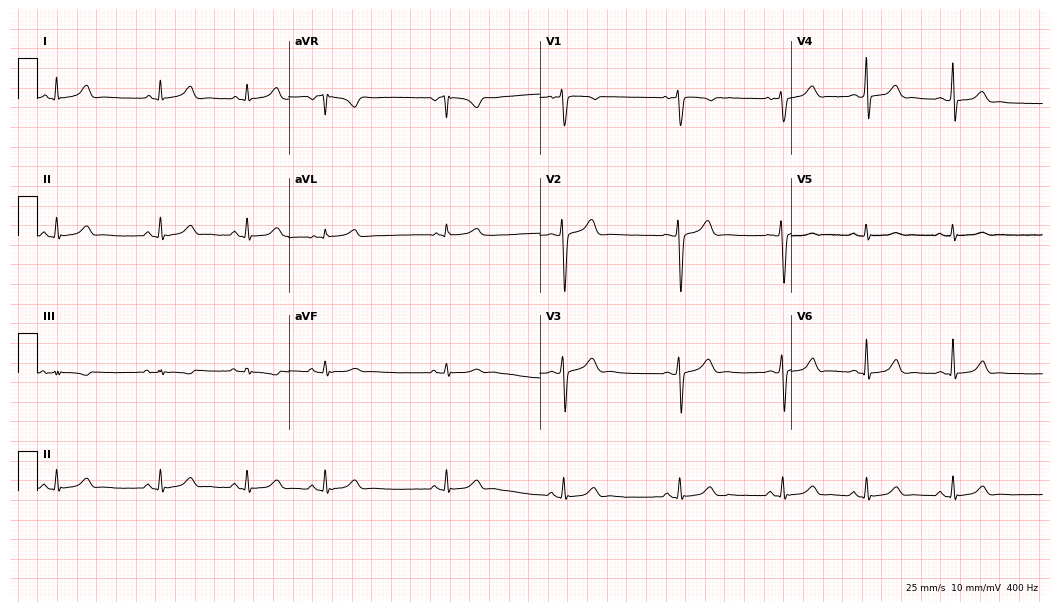
ECG — a 27-year-old female. Labelled as a normal ECG.